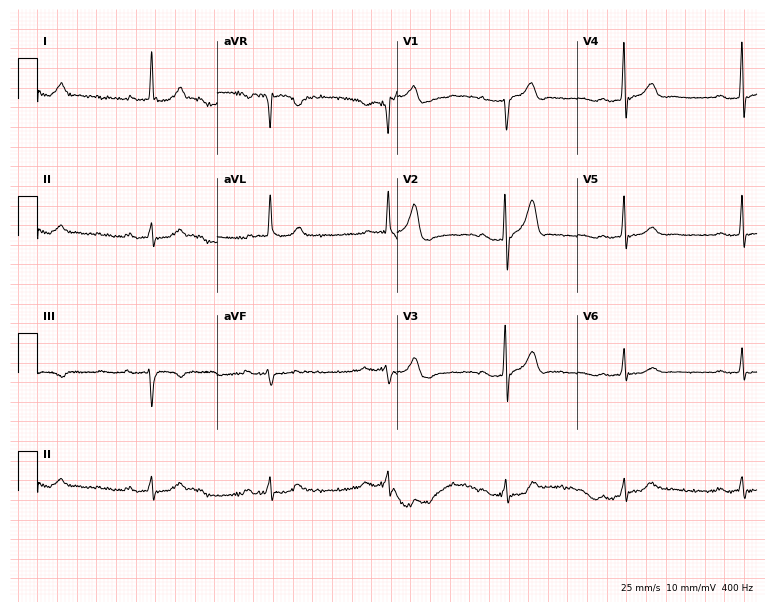
ECG — a man, 71 years old. Findings include first-degree AV block, sinus bradycardia (a sinus rate of 50 beats per minute or less).